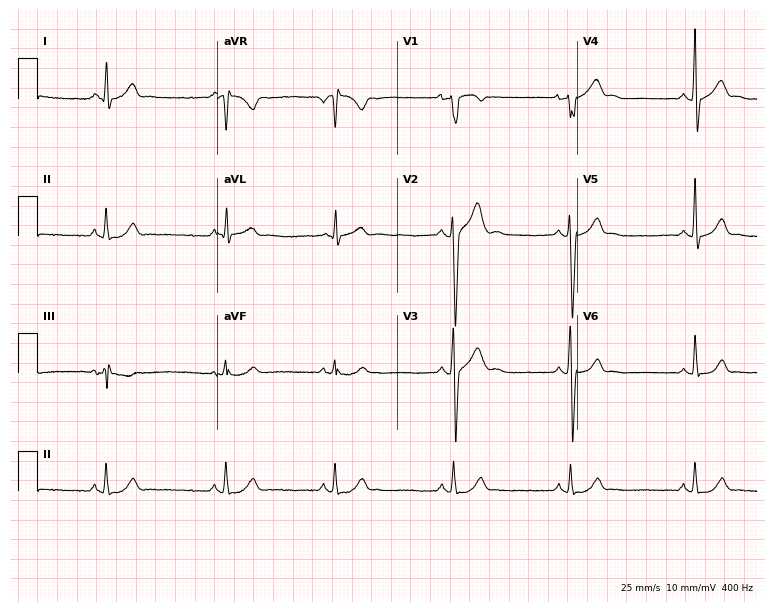
Electrocardiogram, a 17-year-old man. Overall reading on record: normal ECG.